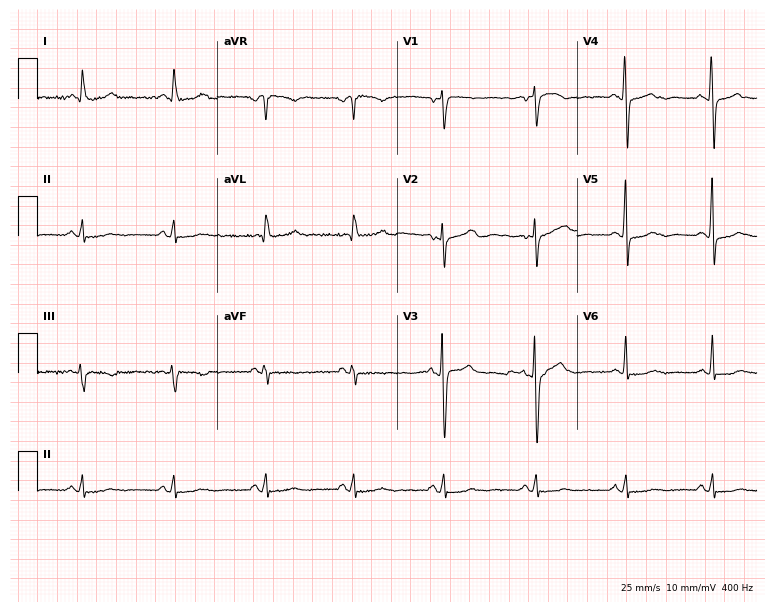
Resting 12-lead electrocardiogram. Patient: a female, 61 years old. None of these six findings is recorded: first-degree AV block, right bundle branch block (RBBB), left bundle branch block (LBBB), sinus bradycardia, atrial fibrillation (AF), sinus tachycardia.